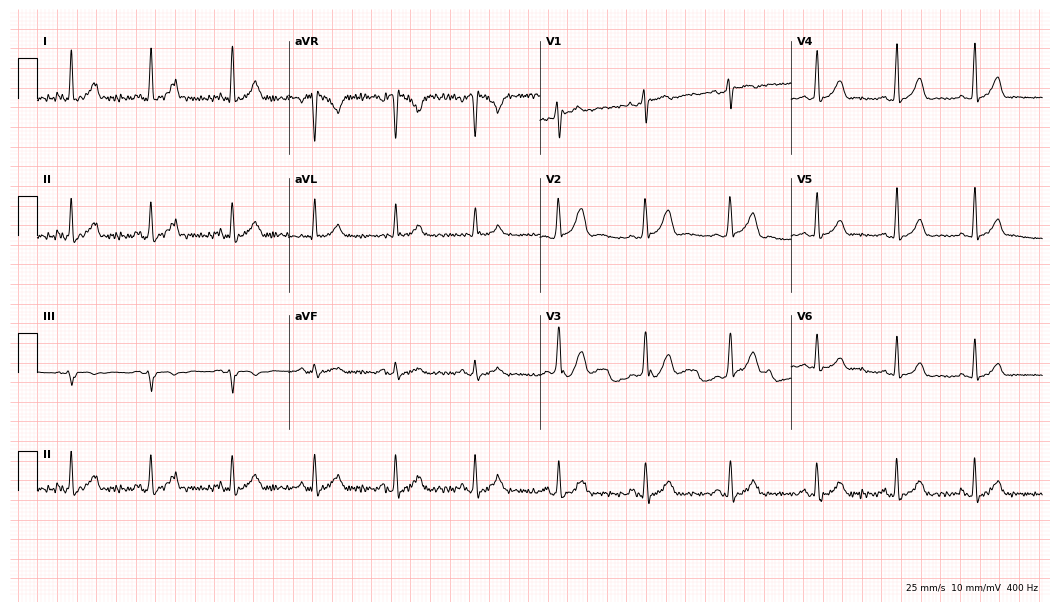
Standard 12-lead ECG recorded from a male, 30 years old (10.2-second recording at 400 Hz). Read as a normal ECG.